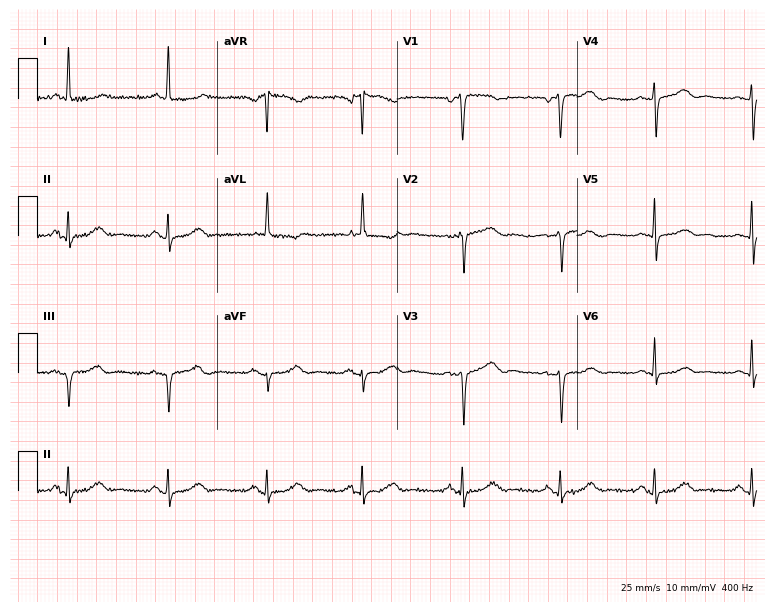
Resting 12-lead electrocardiogram. Patient: a 63-year-old female. Read as a normal ECG.